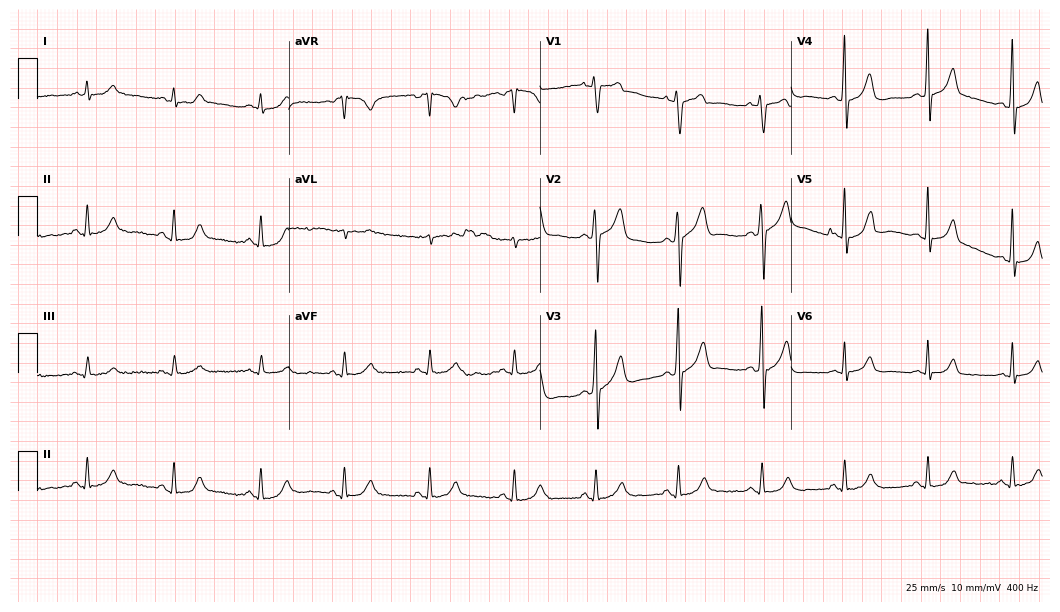
Electrocardiogram (10.2-second recording at 400 Hz), a 44-year-old man. Overall reading on record: normal ECG.